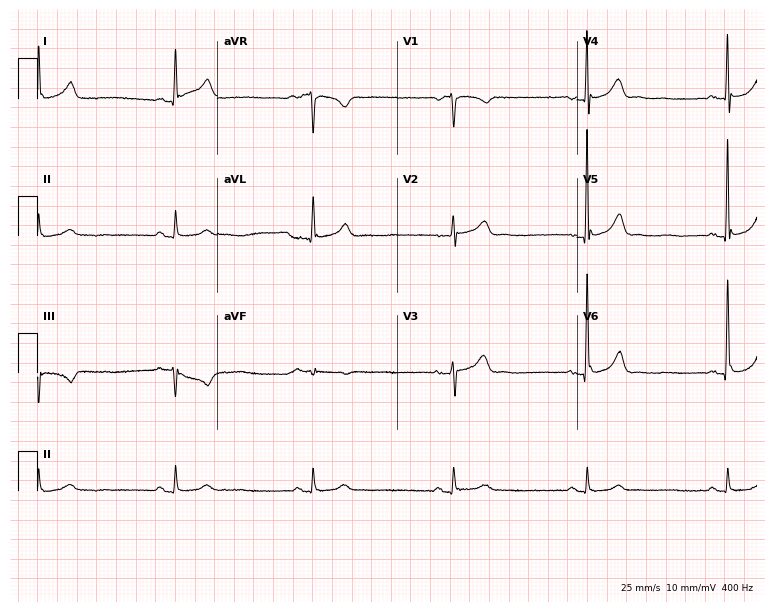
12-lead ECG from a 76-year-old male patient (7.3-second recording at 400 Hz). No first-degree AV block, right bundle branch block, left bundle branch block, sinus bradycardia, atrial fibrillation or sinus tachycardia recorded for this tracing.